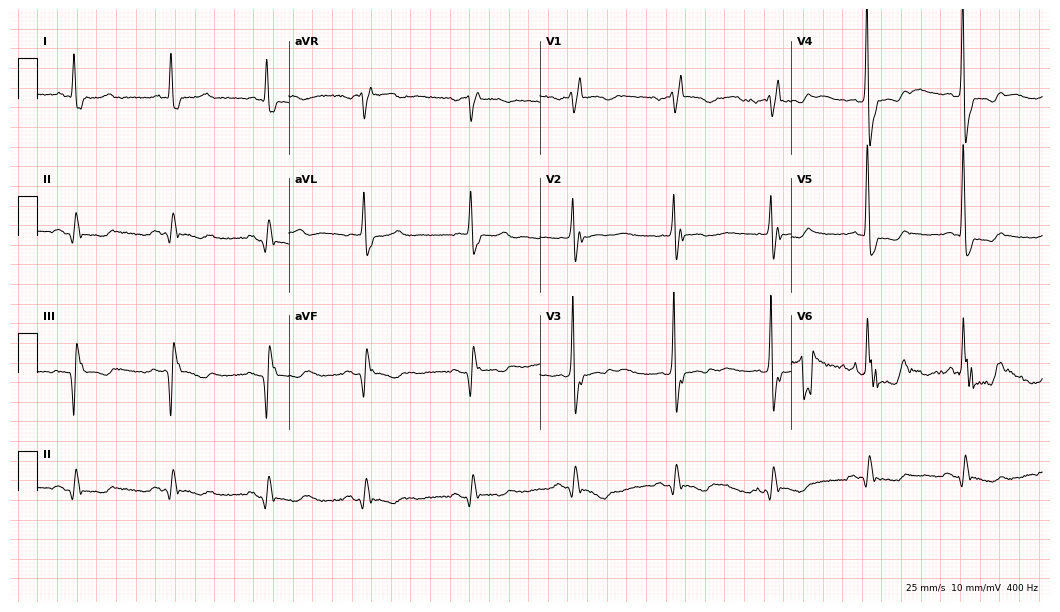
12-lead ECG from an 81-year-old female patient (10.2-second recording at 400 Hz). No first-degree AV block, right bundle branch block, left bundle branch block, sinus bradycardia, atrial fibrillation or sinus tachycardia recorded for this tracing.